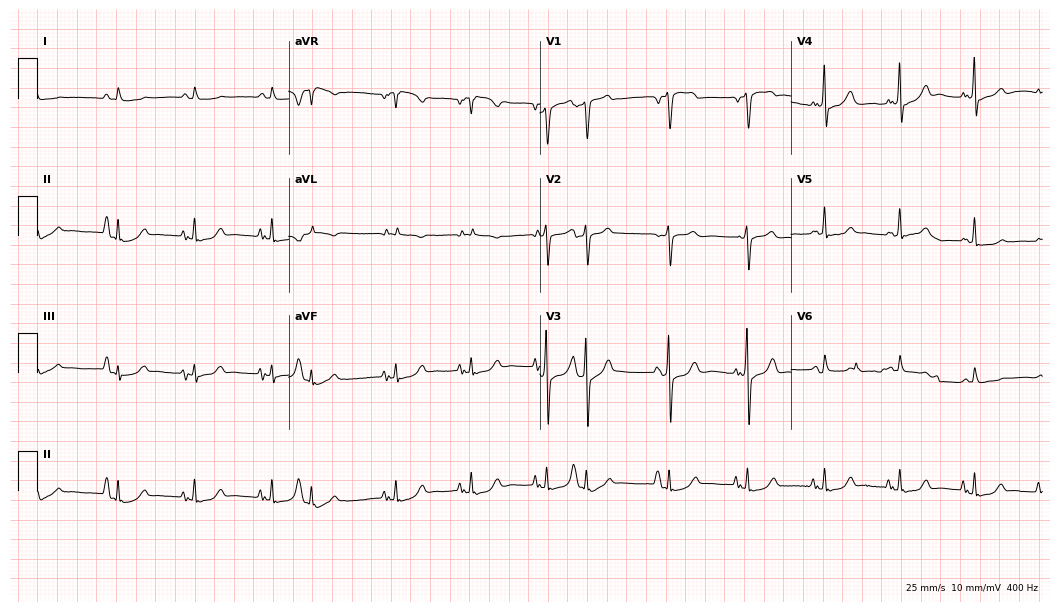
Standard 12-lead ECG recorded from an 81-year-old man (10.2-second recording at 400 Hz). None of these six findings is recorded: first-degree AV block, right bundle branch block (RBBB), left bundle branch block (LBBB), sinus bradycardia, atrial fibrillation (AF), sinus tachycardia. Only these six findings were labelled.